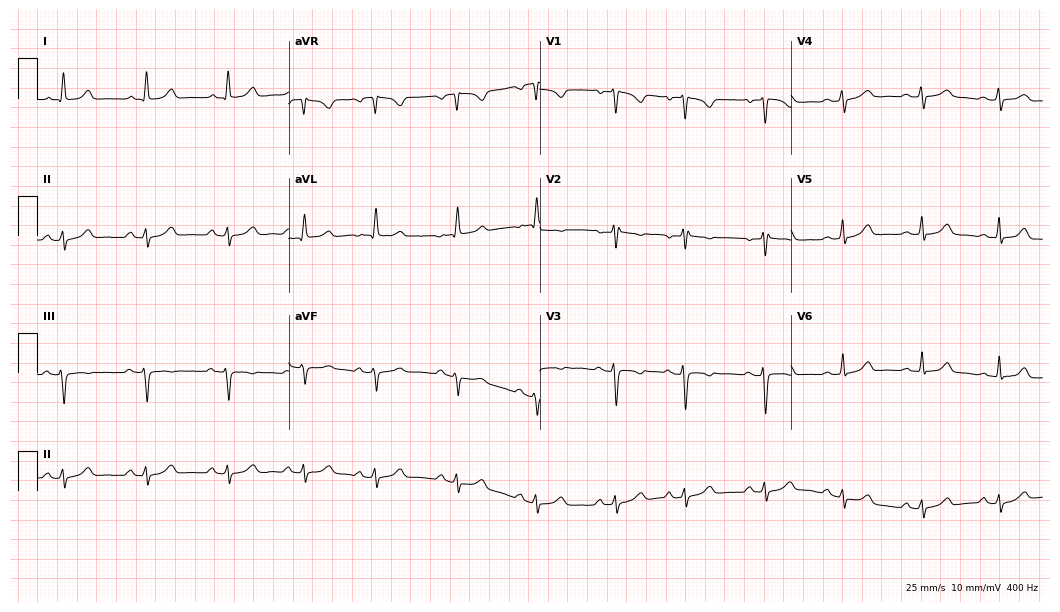
12-lead ECG from a woman, 24 years old (10.2-second recording at 400 Hz). No first-degree AV block, right bundle branch block, left bundle branch block, sinus bradycardia, atrial fibrillation or sinus tachycardia recorded for this tracing.